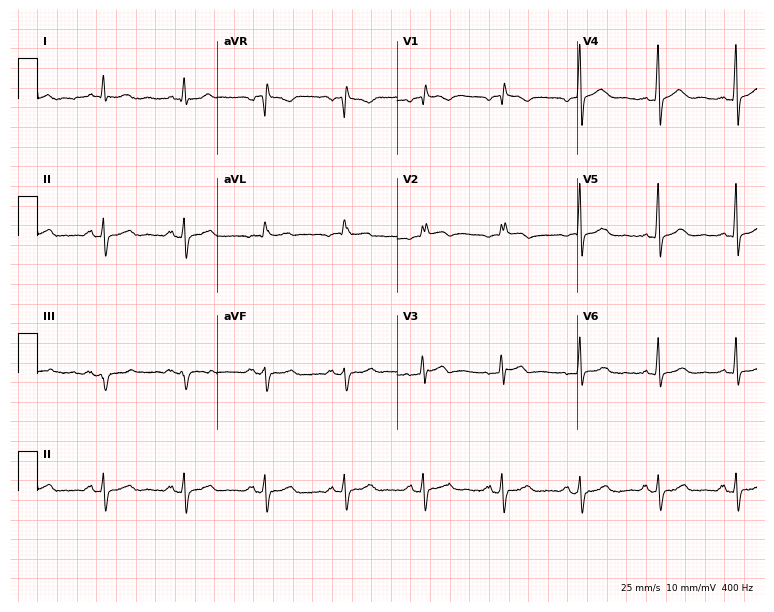
Electrocardiogram, a 69-year-old male. Of the six screened findings (first-degree AV block, right bundle branch block, left bundle branch block, sinus bradycardia, atrial fibrillation, sinus tachycardia), none is recorded.